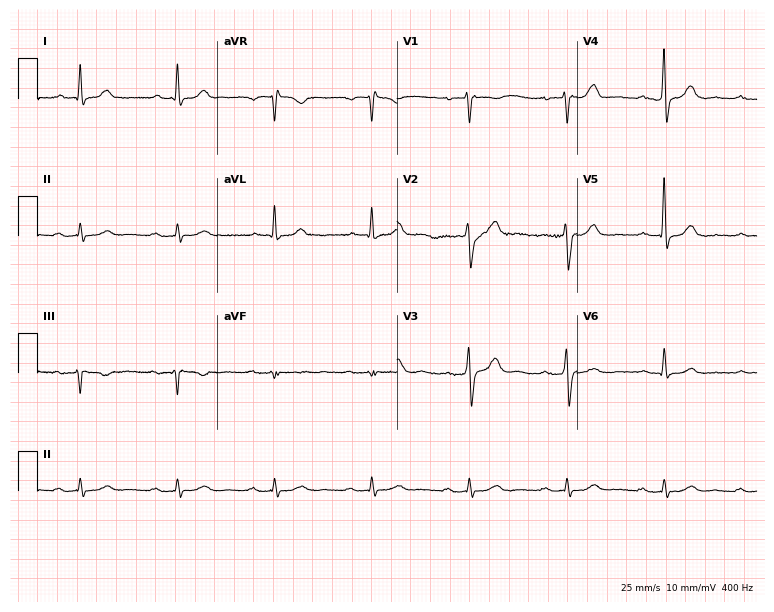
Electrocardiogram, a male, 67 years old. Interpretation includes first-degree AV block.